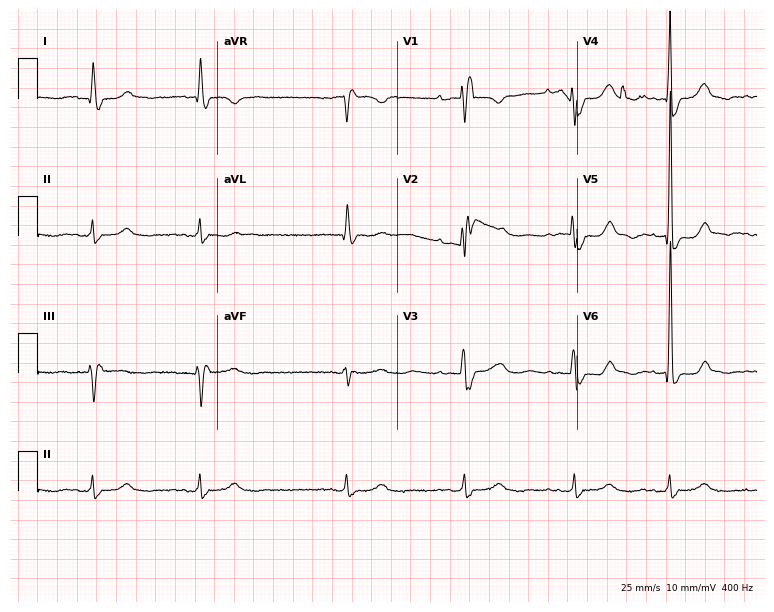
Standard 12-lead ECG recorded from a male patient, 73 years old. The tracing shows right bundle branch block, atrial fibrillation.